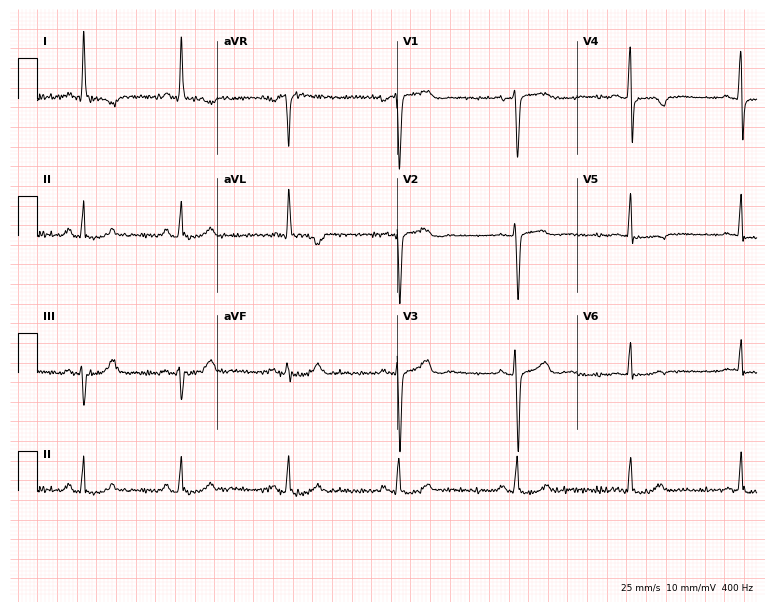
Electrocardiogram, a 63-year-old female patient. Of the six screened findings (first-degree AV block, right bundle branch block, left bundle branch block, sinus bradycardia, atrial fibrillation, sinus tachycardia), none is recorded.